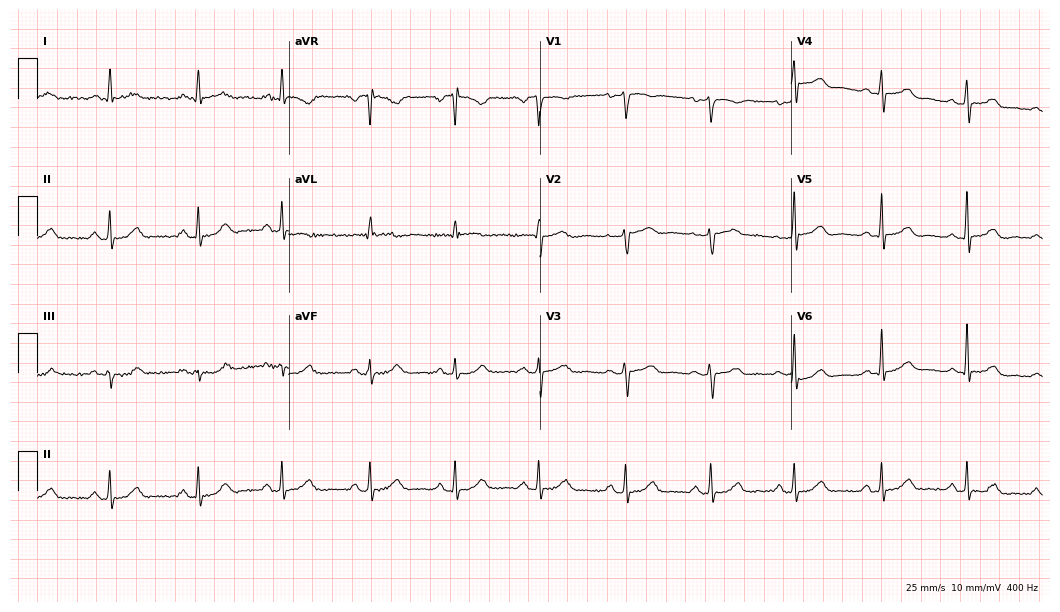
12-lead ECG (10.2-second recording at 400 Hz) from a woman, 72 years old. Labelled as a normal ECG.